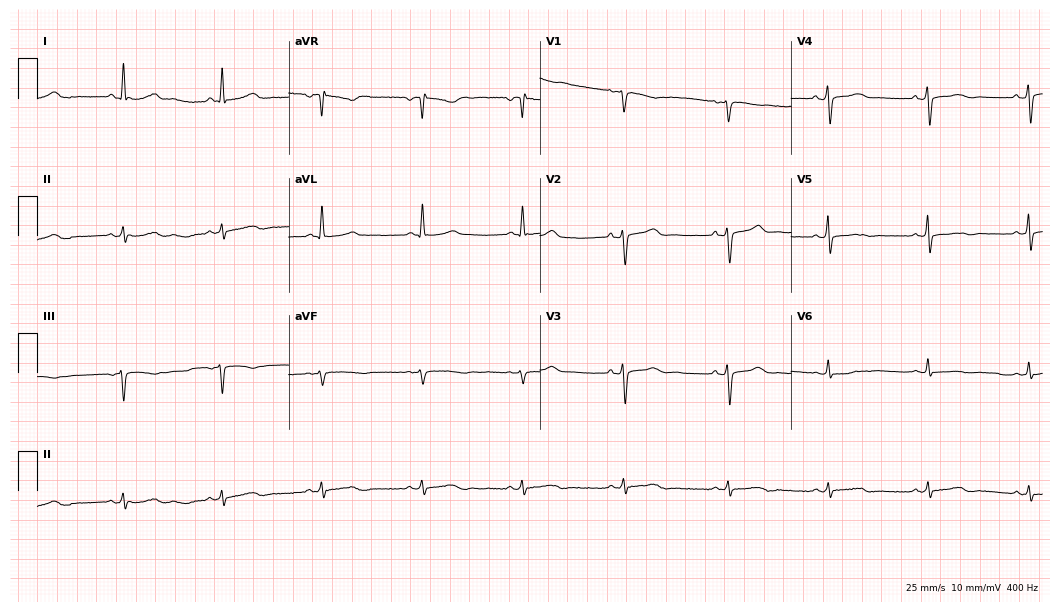
12-lead ECG from a woman, 54 years old. Screened for six findings — first-degree AV block, right bundle branch block, left bundle branch block, sinus bradycardia, atrial fibrillation, sinus tachycardia — none is recorded.